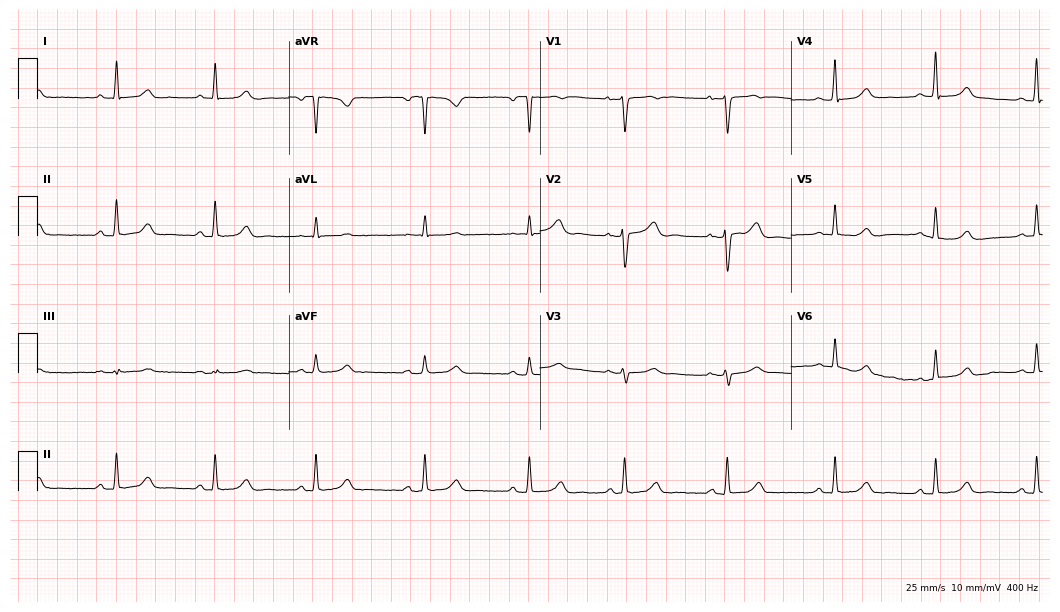
Resting 12-lead electrocardiogram (10.2-second recording at 400 Hz). Patient: a 36-year-old female. None of these six findings is recorded: first-degree AV block, right bundle branch block, left bundle branch block, sinus bradycardia, atrial fibrillation, sinus tachycardia.